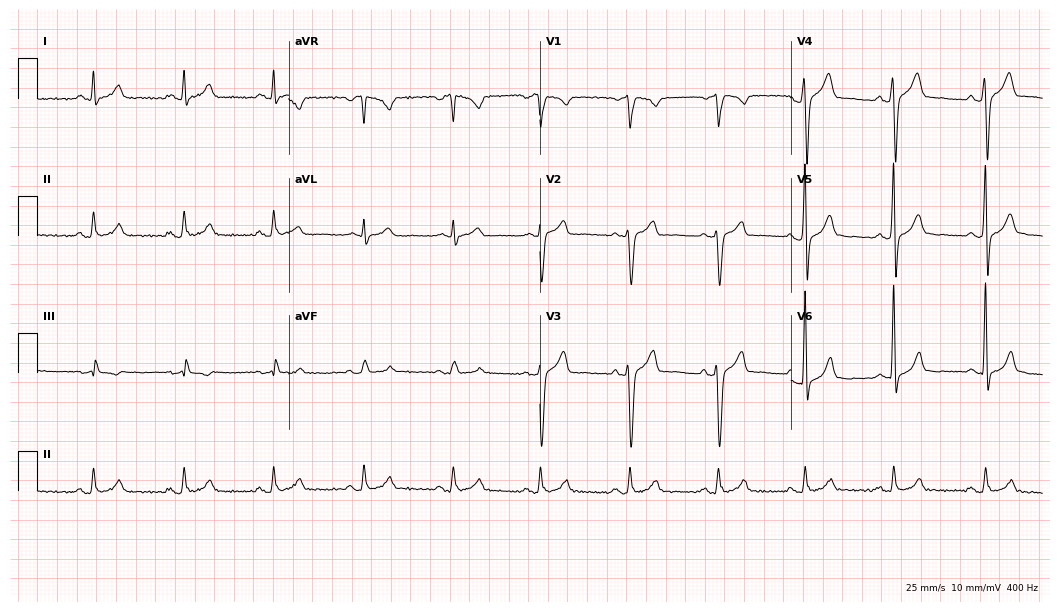
Standard 12-lead ECG recorded from a 44-year-old male. Read as a normal ECG.